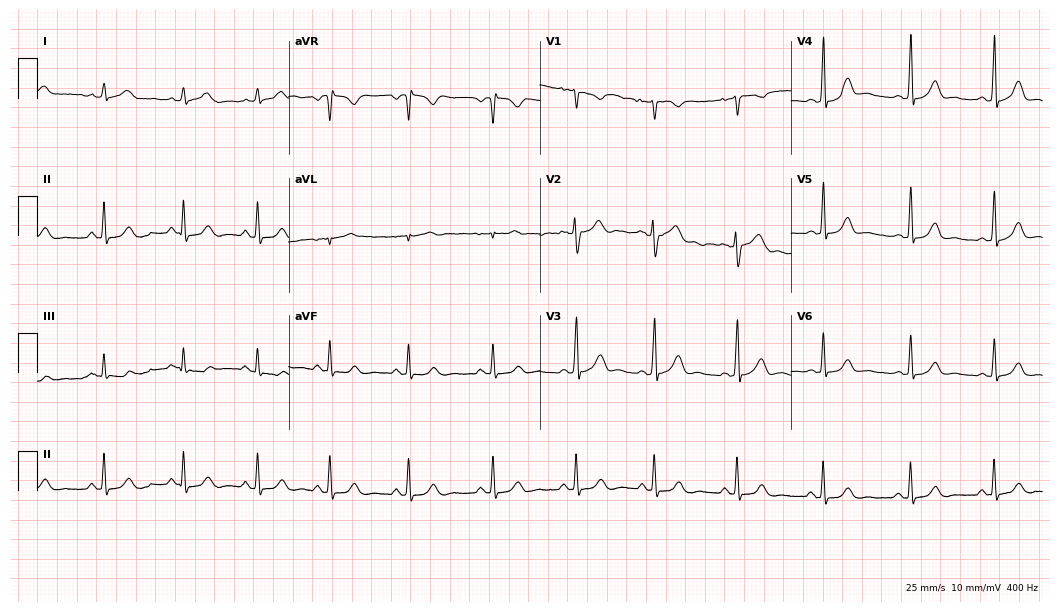
12-lead ECG from a 24-year-old woman (10.2-second recording at 400 Hz). No first-degree AV block, right bundle branch block, left bundle branch block, sinus bradycardia, atrial fibrillation or sinus tachycardia recorded for this tracing. Other findings, if any, are not listed.